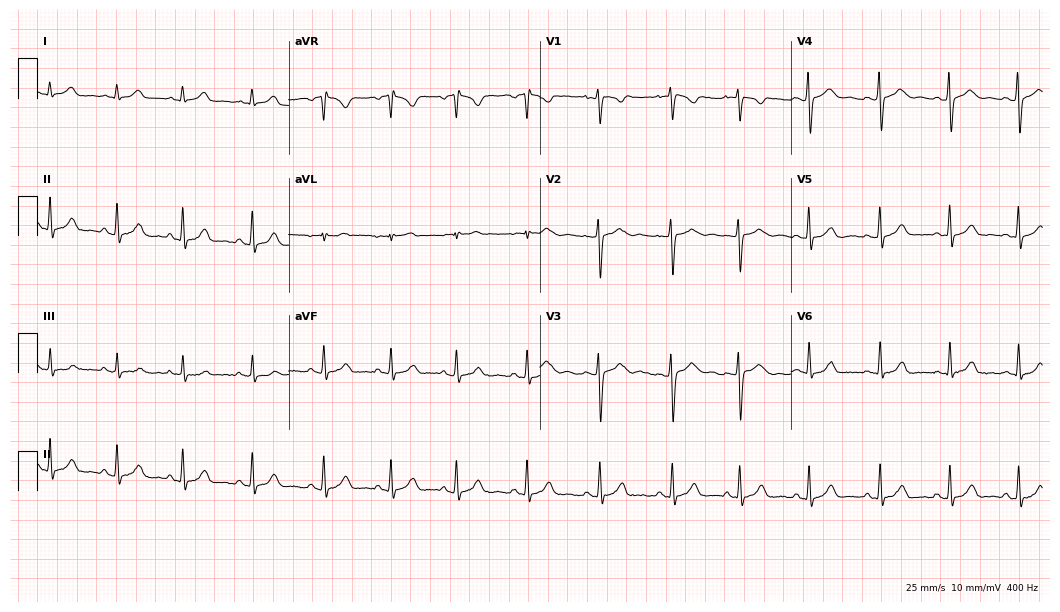
Resting 12-lead electrocardiogram (10.2-second recording at 400 Hz). Patient: a woman, 19 years old. Read as a normal ECG.